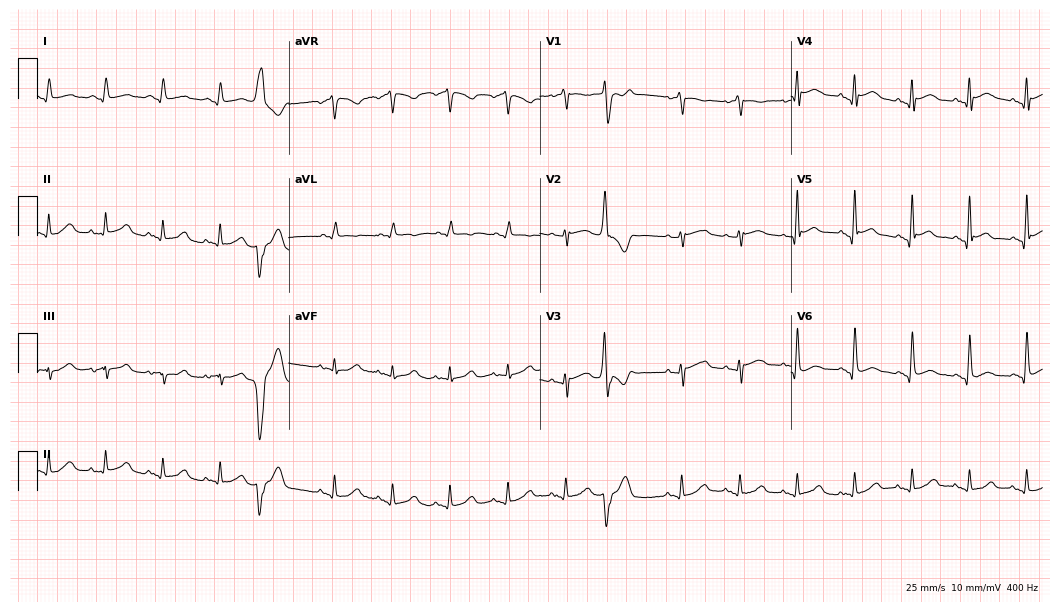
12-lead ECG from a female patient, 77 years old. Findings include sinus tachycardia (a sinus rate of 100 beats per minute or more).